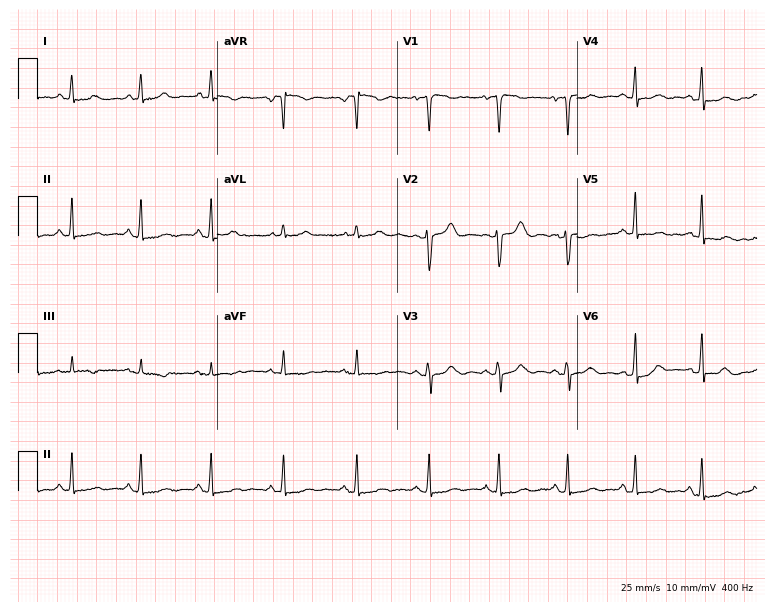
Standard 12-lead ECG recorded from a 46-year-old woman. None of these six findings is recorded: first-degree AV block, right bundle branch block, left bundle branch block, sinus bradycardia, atrial fibrillation, sinus tachycardia.